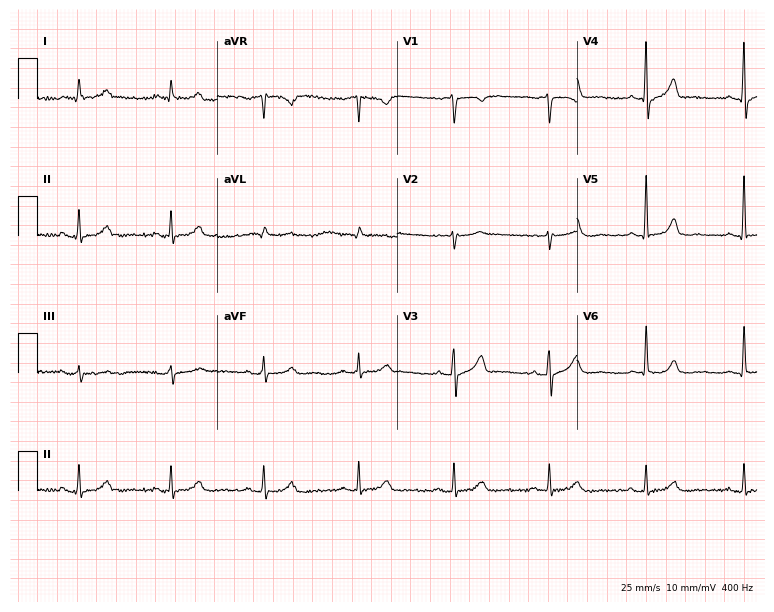
ECG (7.3-second recording at 400 Hz) — a man, 68 years old. Labelled as a normal ECG.